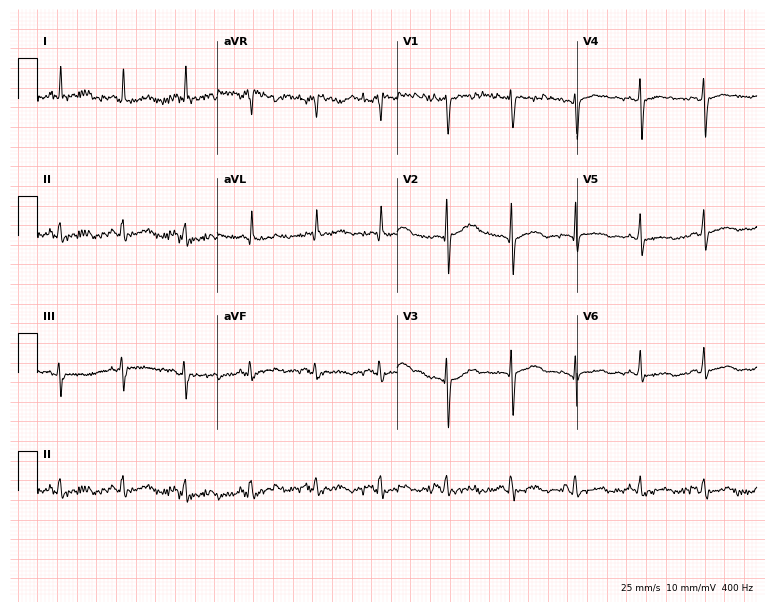
12-lead ECG from a woman, 36 years old. No first-degree AV block, right bundle branch block, left bundle branch block, sinus bradycardia, atrial fibrillation or sinus tachycardia recorded for this tracing.